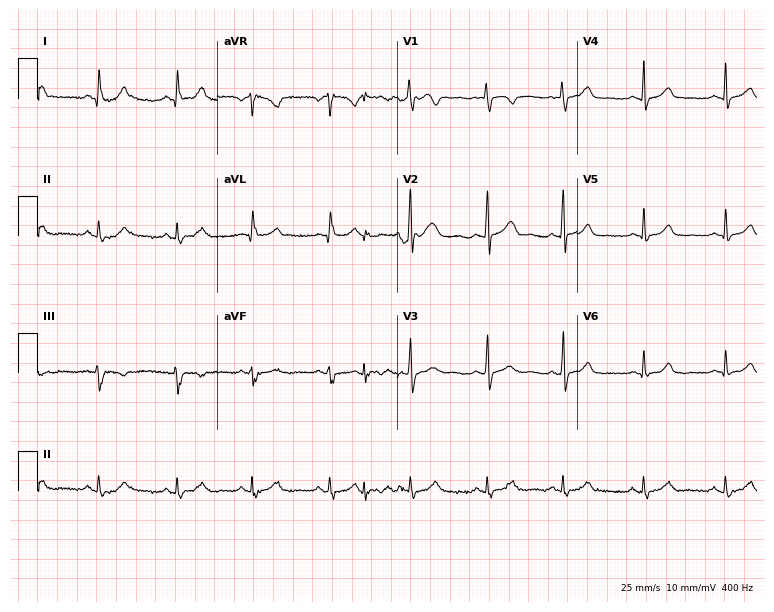
ECG — a 21-year-old female. Labelled as a normal ECG.